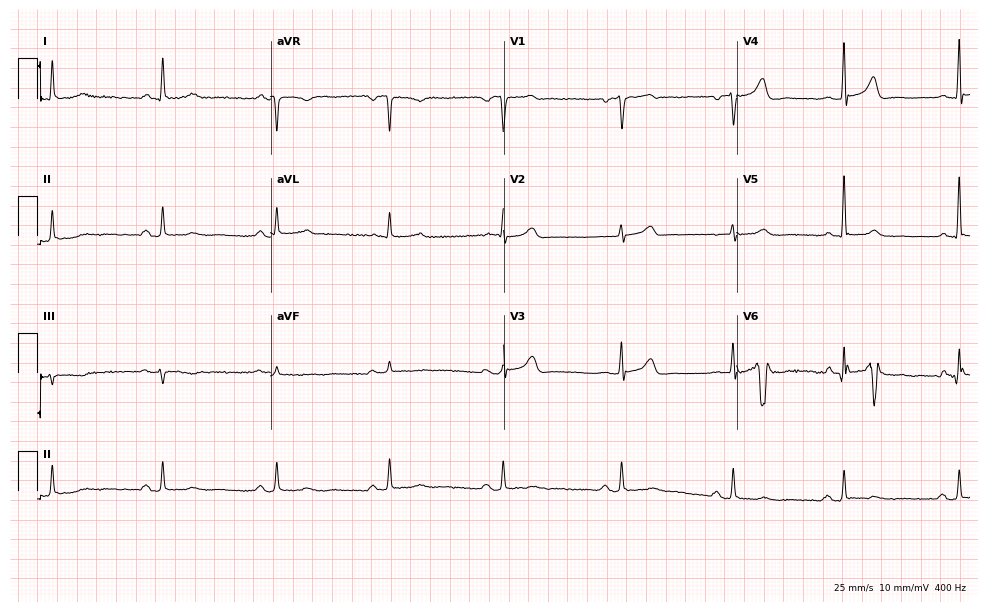
12-lead ECG from a 65-year-old woman (9.5-second recording at 400 Hz). No first-degree AV block, right bundle branch block, left bundle branch block, sinus bradycardia, atrial fibrillation or sinus tachycardia recorded for this tracing.